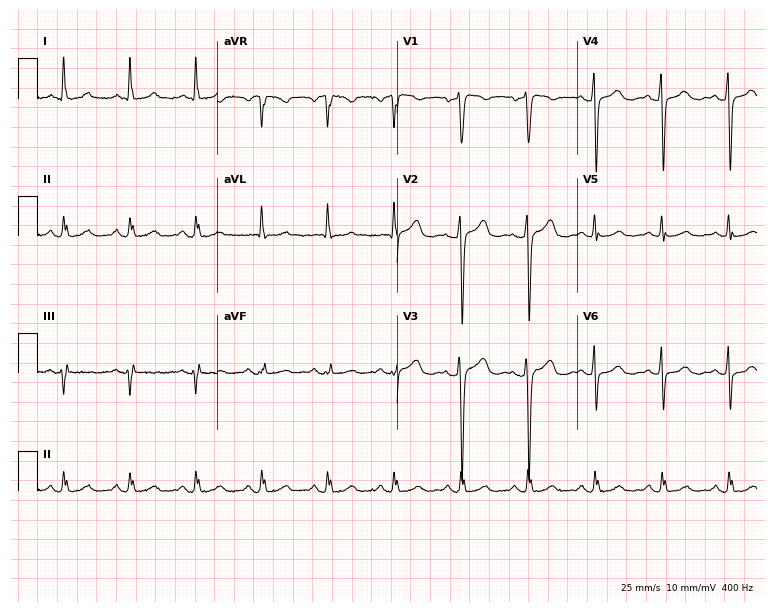
ECG (7.3-second recording at 400 Hz) — a female, 56 years old. Labelled as a normal ECG.